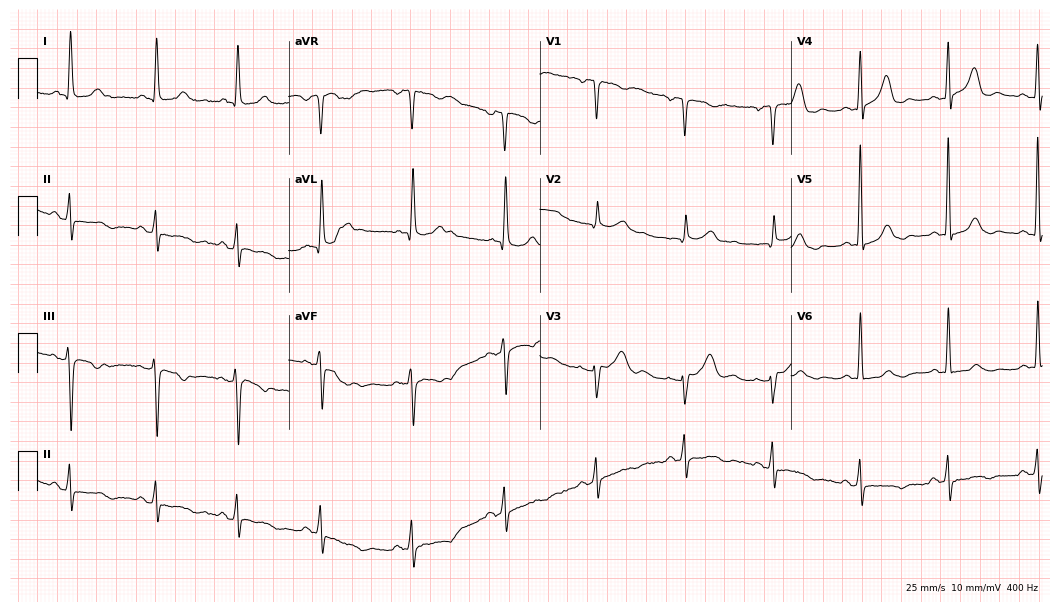
Resting 12-lead electrocardiogram (10.2-second recording at 400 Hz). Patient: a 71-year-old female. None of these six findings is recorded: first-degree AV block, right bundle branch block, left bundle branch block, sinus bradycardia, atrial fibrillation, sinus tachycardia. Findings outside these six are not listed.